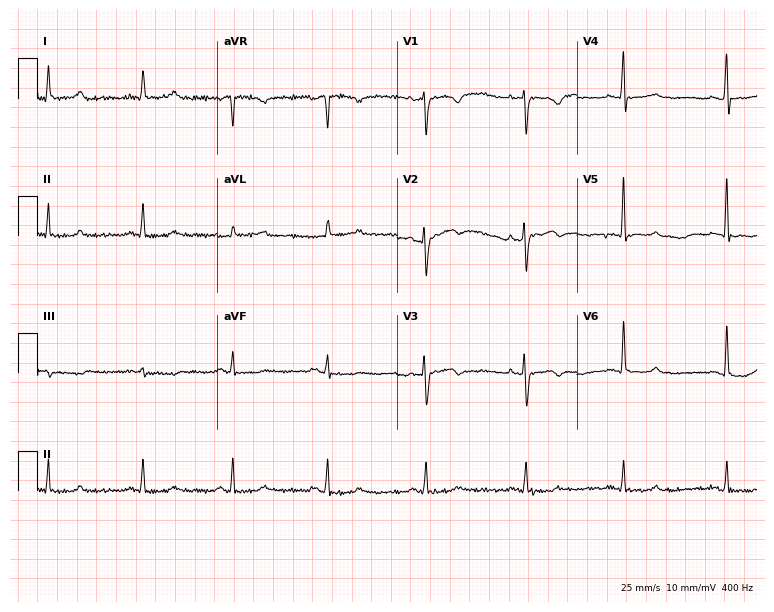
Standard 12-lead ECG recorded from a 51-year-old female patient (7.3-second recording at 400 Hz). Read as a normal ECG.